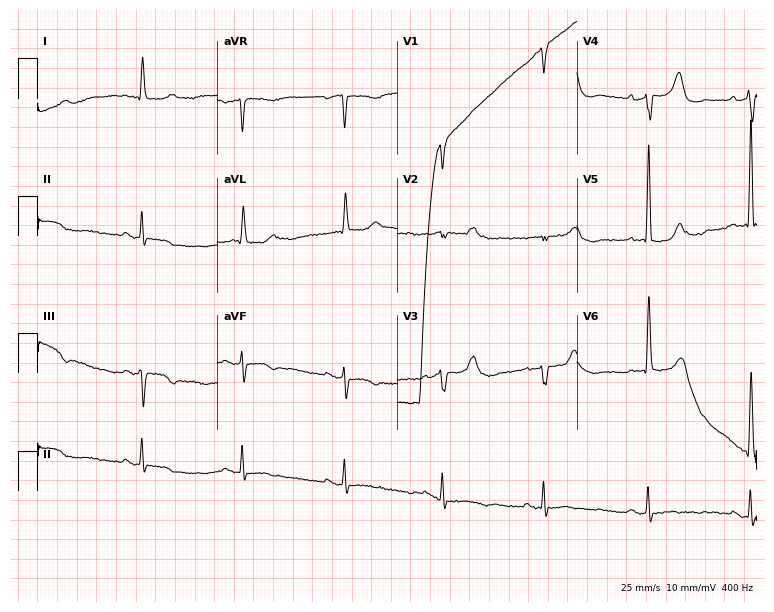
Standard 12-lead ECG recorded from a female patient, 76 years old (7.3-second recording at 400 Hz). None of these six findings is recorded: first-degree AV block, right bundle branch block, left bundle branch block, sinus bradycardia, atrial fibrillation, sinus tachycardia.